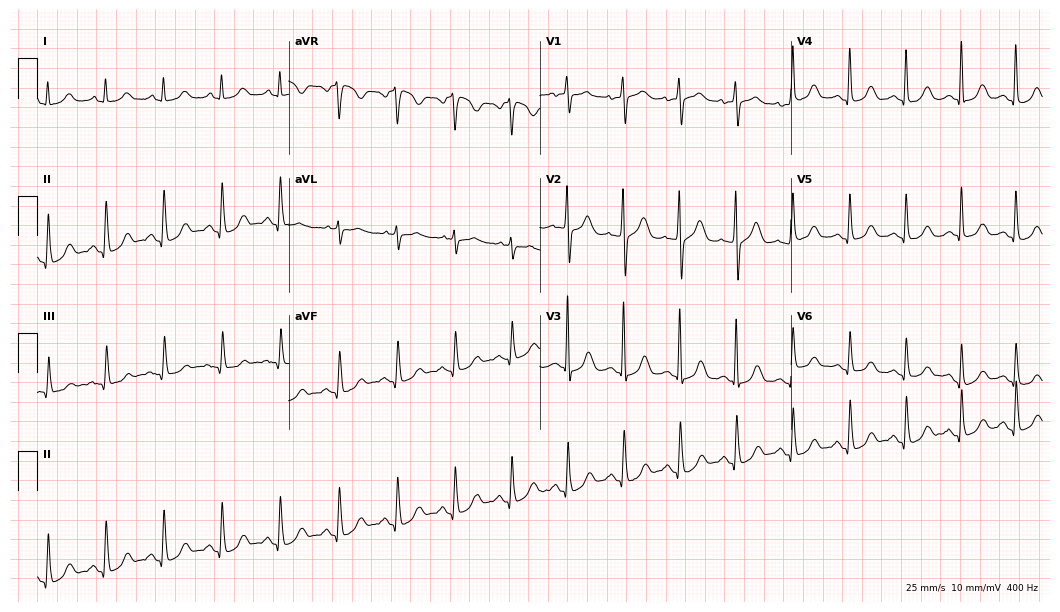
Standard 12-lead ECG recorded from a 68-year-old female patient (10.2-second recording at 400 Hz). The tracing shows sinus tachycardia (a sinus rate of 100 beats per minute or more).